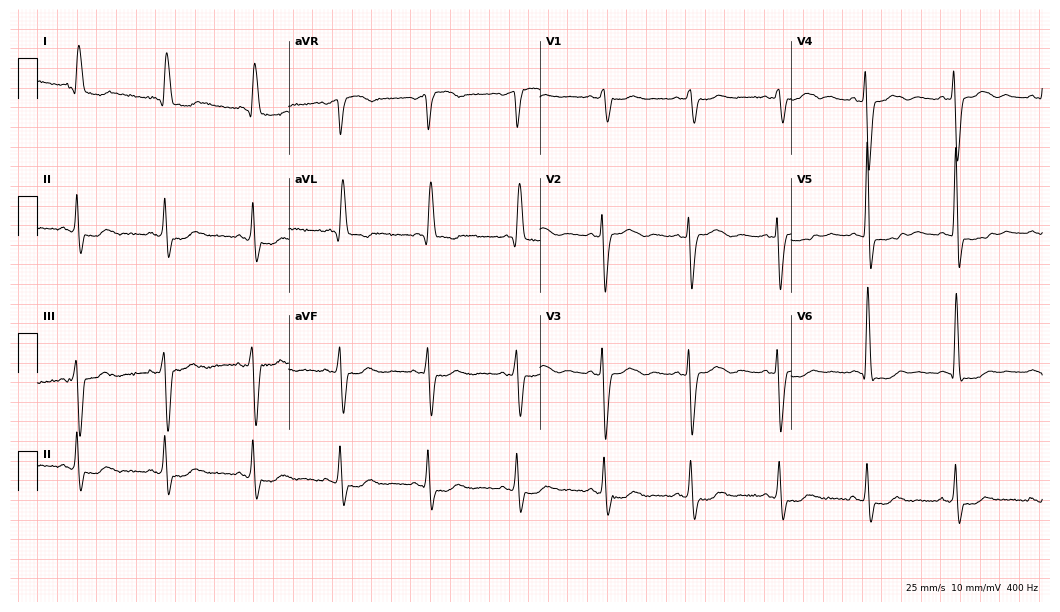
Resting 12-lead electrocardiogram (10.2-second recording at 400 Hz). Patient: an 80-year-old female. None of these six findings is recorded: first-degree AV block, right bundle branch block, left bundle branch block, sinus bradycardia, atrial fibrillation, sinus tachycardia. Findings outside these six are not listed.